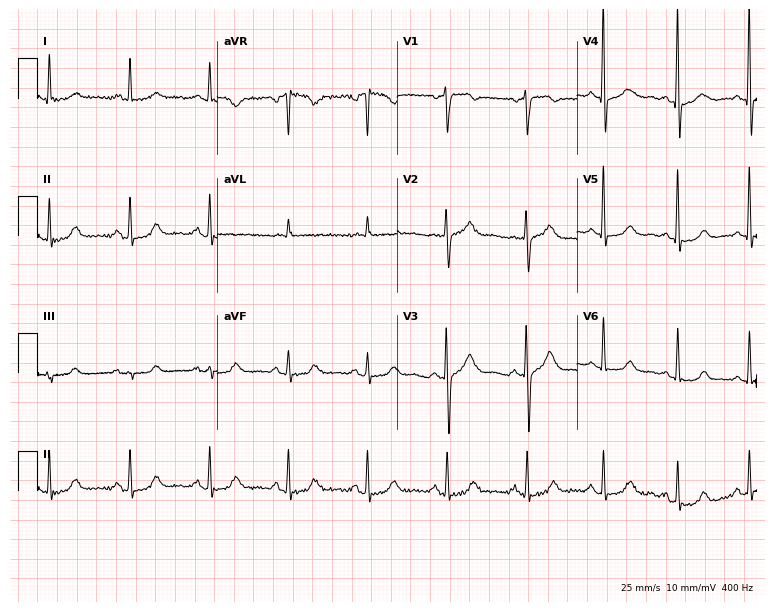
Resting 12-lead electrocardiogram. Patient: a female, 49 years old. Read as a normal ECG.